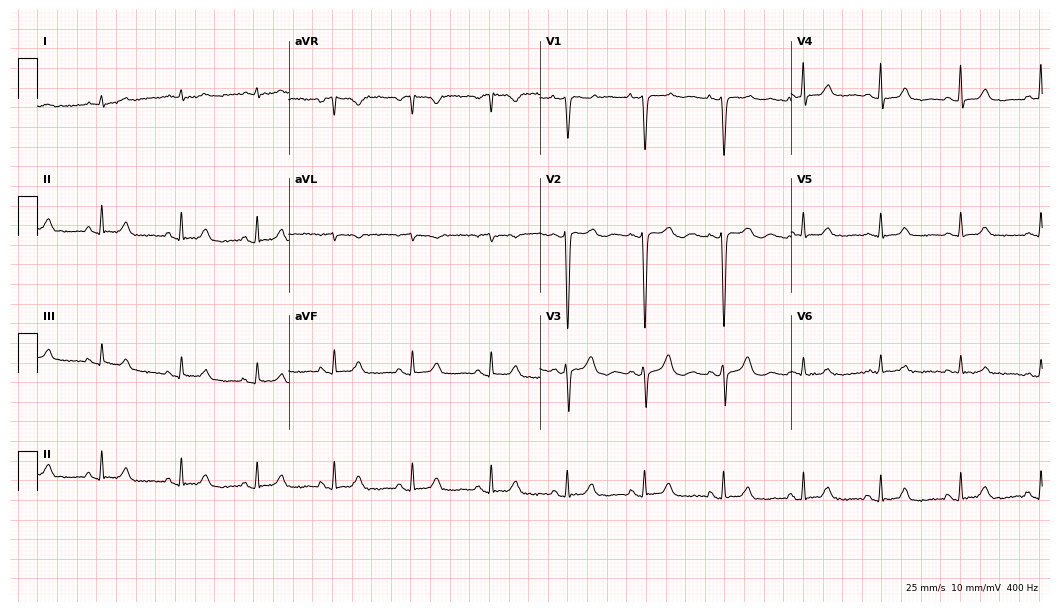
12-lead ECG from a woman, 45 years old (10.2-second recording at 400 Hz). No first-degree AV block, right bundle branch block, left bundle branch block, sinus bradycardia, atrial fibrillation or sinus tachycardia recorded for this tracing. Only these six findings were labelled.